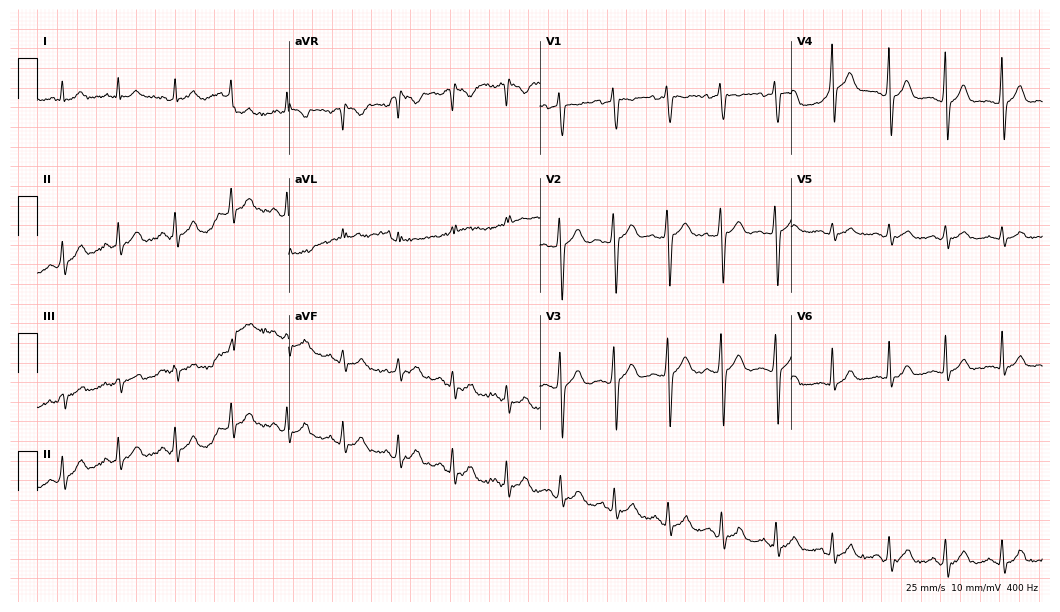
Electrocardiogram (10.2-second recording at 400 Hz), a male patient, 21 years old. Interpretation includes sinus tachycardia (a sinus rate of 100 beats per minute or more).